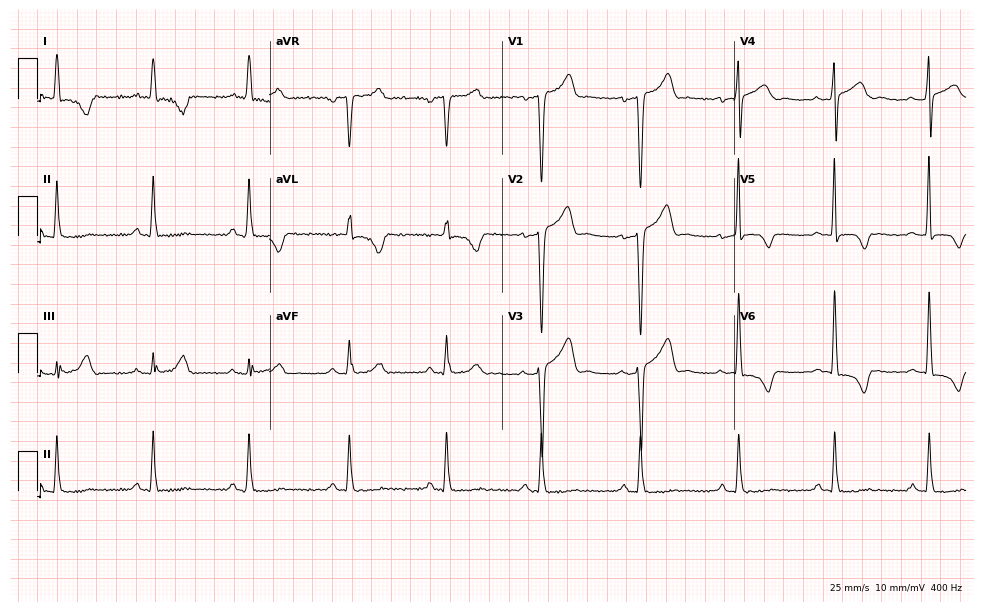
12-lead ECG (9.5-second recording at 400 Hz) from a 45-year-old male patient. Screened for six findings — first-degree AV block, right bundle branch block, left bundle branch block, sinus bradycardia, atrial fibrillation, sinus tachycardia — none is recorded. Only these six findings were labelled.